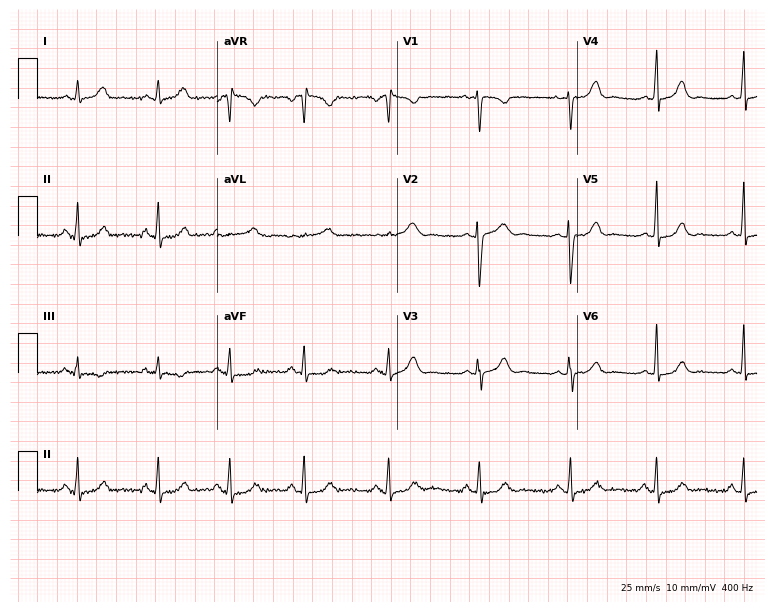
12-lead ECG from a woman, 41 years old. Labelled as a normal ECG.